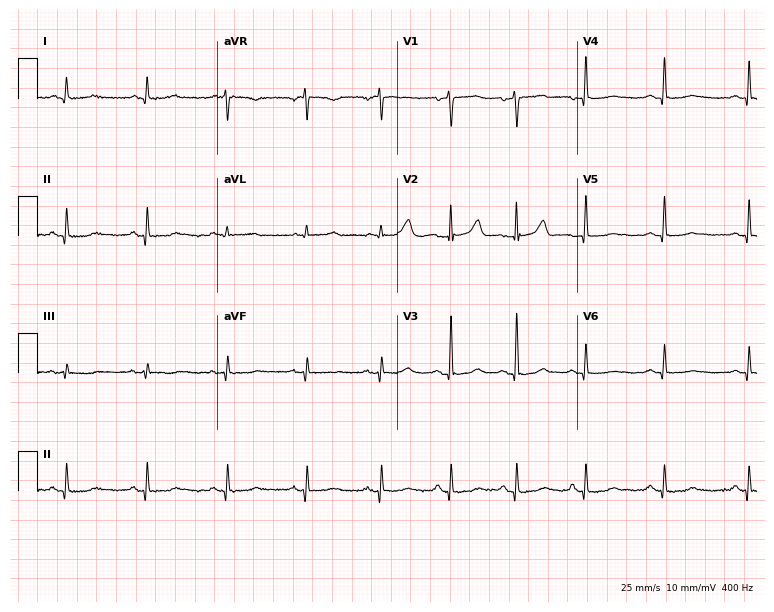
Resting 12-lead electrocardiogram (7.3-second recording at 400 Hz). Patient: a 52-year-old female. None of these six findings is recorded: first-degree AV block, right bundle branch block, left bundle branch block, sinus bradycardia, atrial fibrillation, sinus tachycardia.